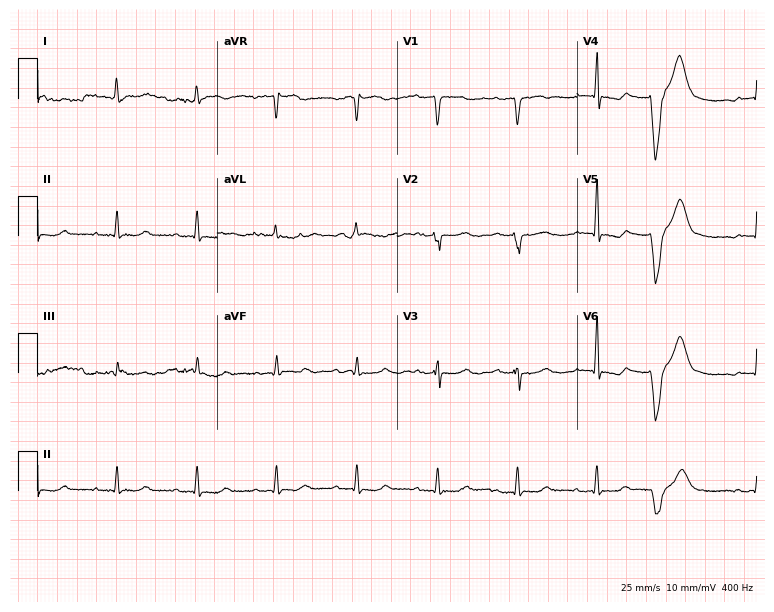
ECG (7.3-second recording at 400 Hz) — a 63-year-old female patient. Screened for six findings — first-degree AV block, right bundle branch block, left bundle branch block, sinus bradycardia, atrial fibrillation, sinus tachycardia — none is recorded. Findings outside these six are not listed.